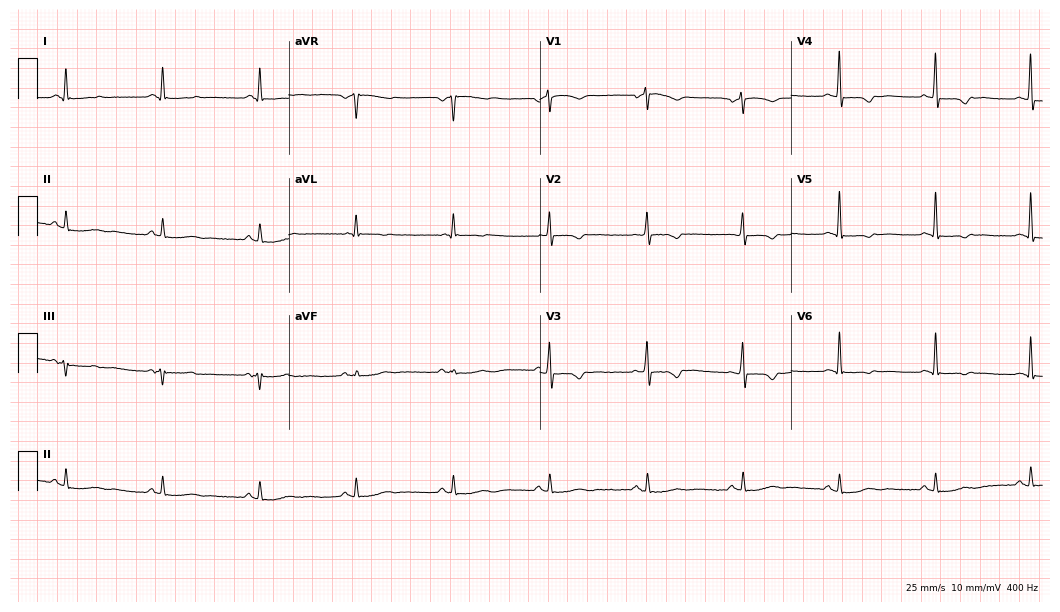
ECG (10.2-second recording at 400 Hz) — a female patient, 65 years old. Labelled as a normal ECG.